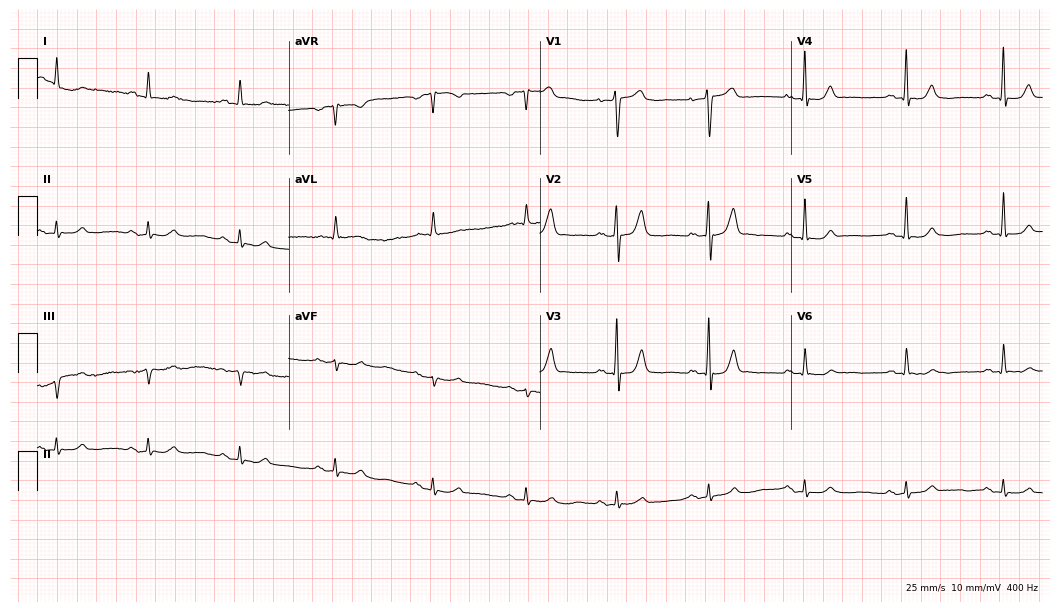
ECG (10.2-second recording at 400 Hz) — a female, 52 years old. Screened for six findings — first-degree AV block, right bundle branch block (RBBB), left bundle branch block (LBBB), sinus bradycardia, atrial fibrillation (AF), sinus tachycardia — none is recorded. Other findings, if any, are not listed.